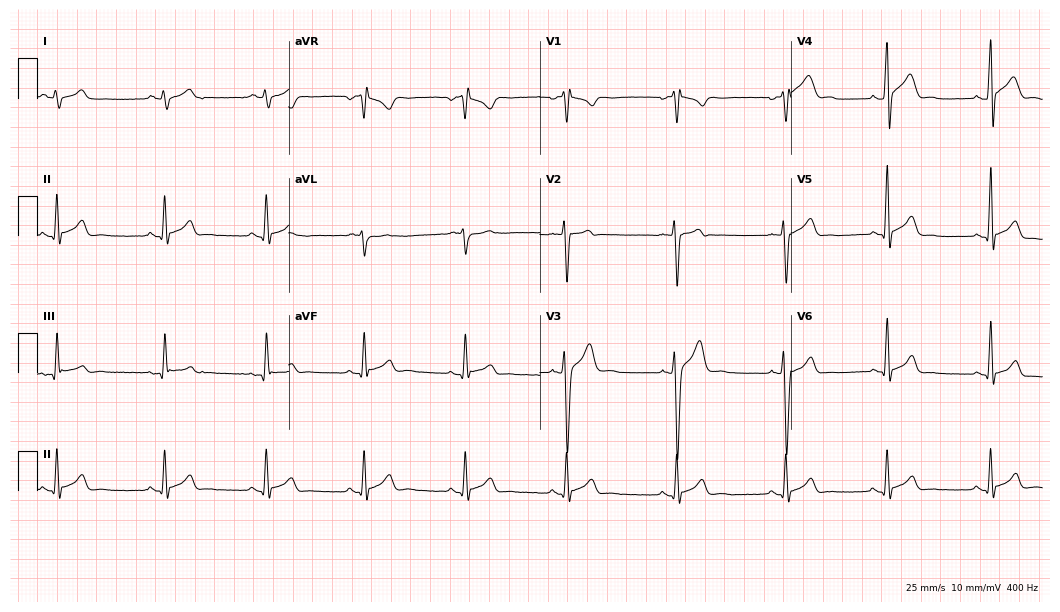
Resting 12-lead electrocardiogram. Patient: a male, 23 years old. Read as a normal ECG.